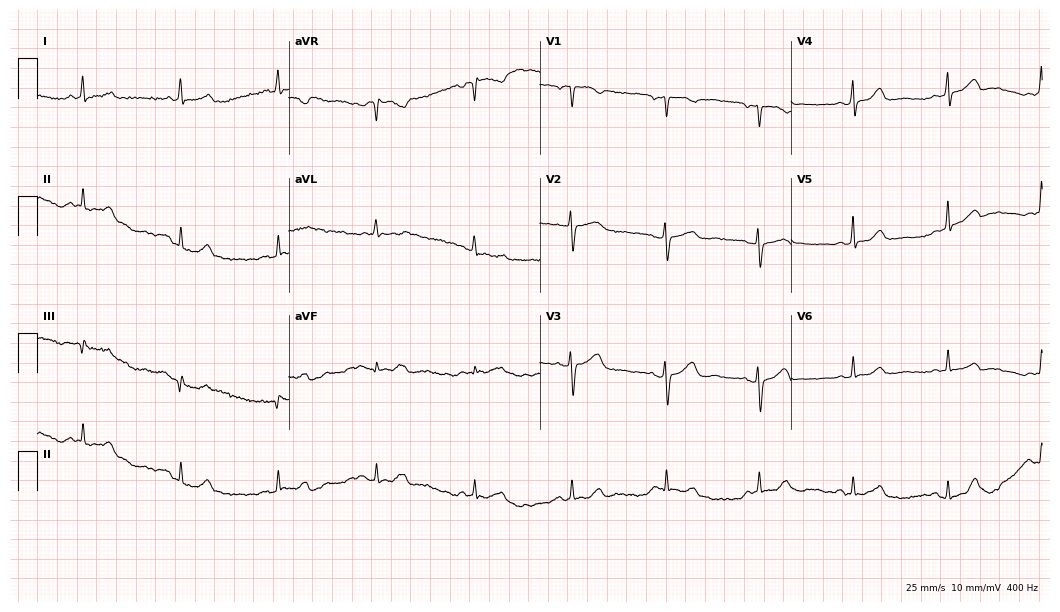
12-lead ECG (10.2-second recording at 400 Hz) from a woman, 72 years old. Labelled as a normal ECG.